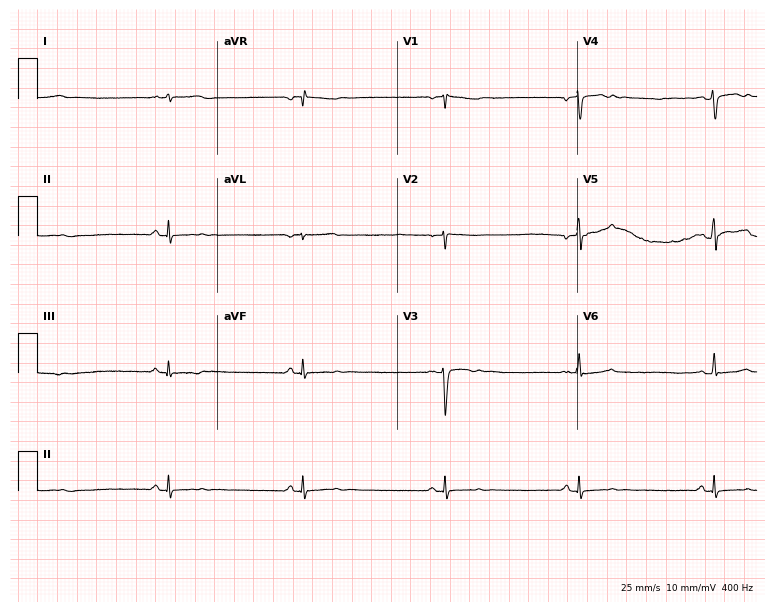
12-lead ECG from a woman, 32 years old. No first-degree AV block, right bundle branch block, left bundle branch block, sinus bradycardia, atrial fibrillation or sinus tachycardia recorded for this tracing.